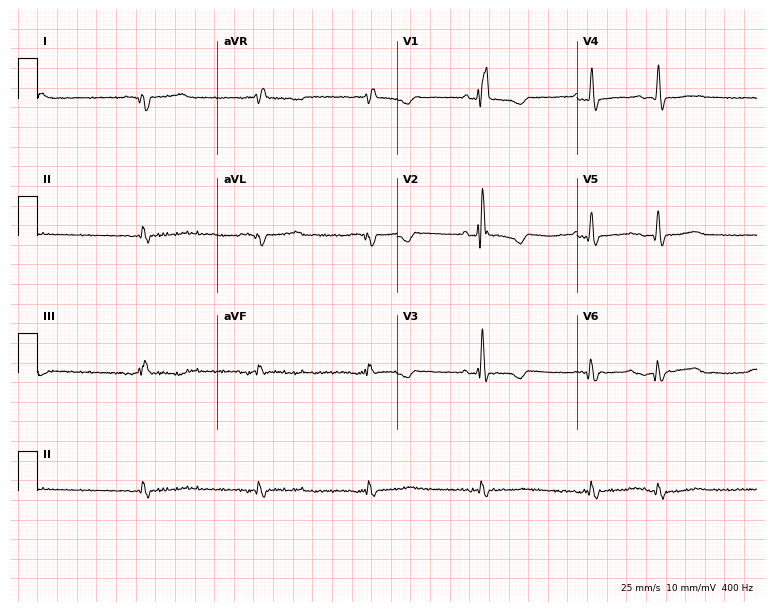
12-lead ECG from a 71-year-old man. No first-degree AV block, right bundle branch block, left bundle branch block, sinus bradycardia, atrial fibrillation or sinus tachycardia recorded for this tracing. Only these six findings were labelled.